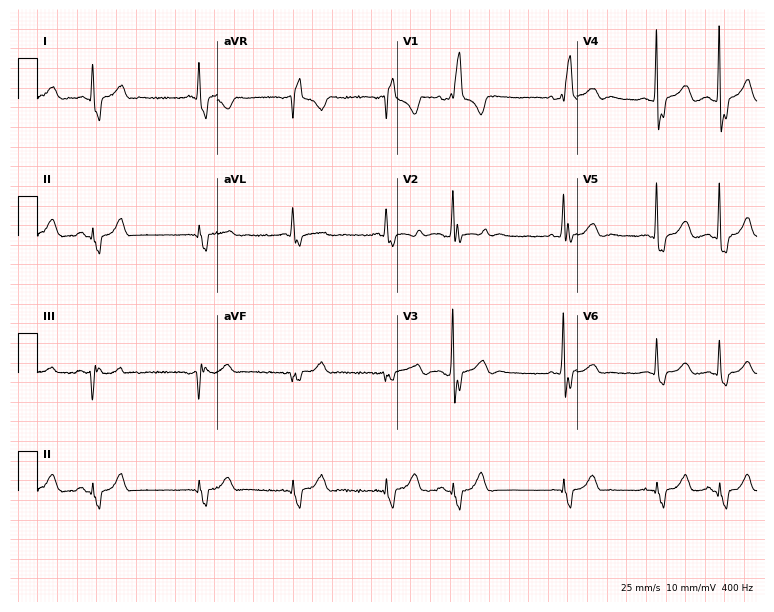
Electrocardiogram (7.3-second recording at 400 Hz), a 79-year-old female. Interpretation includes right bundle branch block (RBBB).